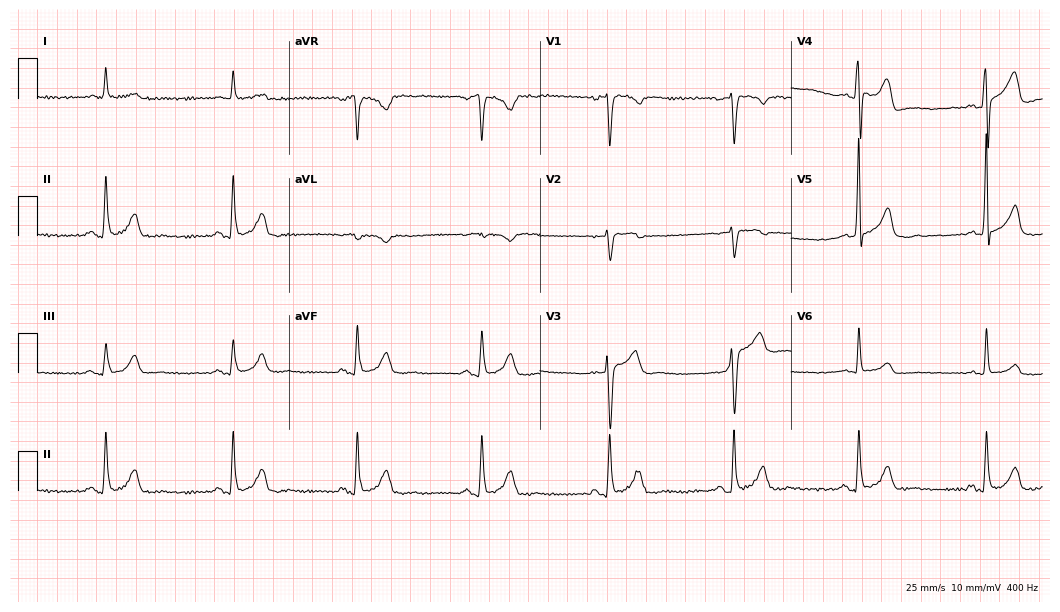
12-lead ECG from a 58-year-old man (10.2-second recording at 400 Hz). Shows sinus bradycardia (a sinus rate of 50 beats per minute or less).